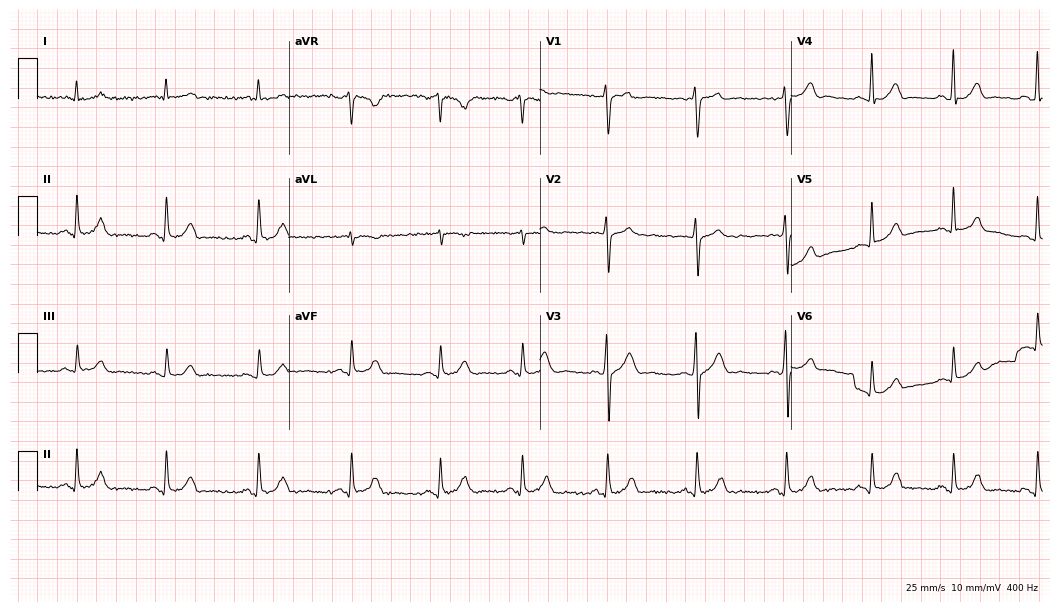
12-lead ECG from a 26-year-old man (10.2-second recording at 400 Hz). Recorded interpretation: within normal limits.